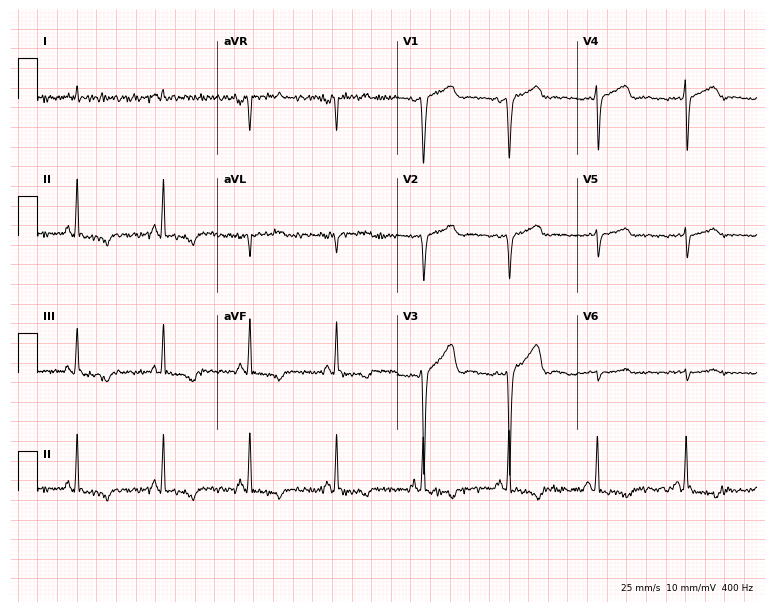
Resting 12-lead electrocardiogram (7.3-second recording at 400 Hz). Patient: a 38-year-old male. None of these six findings is recorded: first-degree AV block, right bundle branch block (RBBB), left bundle branch block (LBBB), sinus bradycardia, atrial fibrillation (AF), sinus tachycardia.